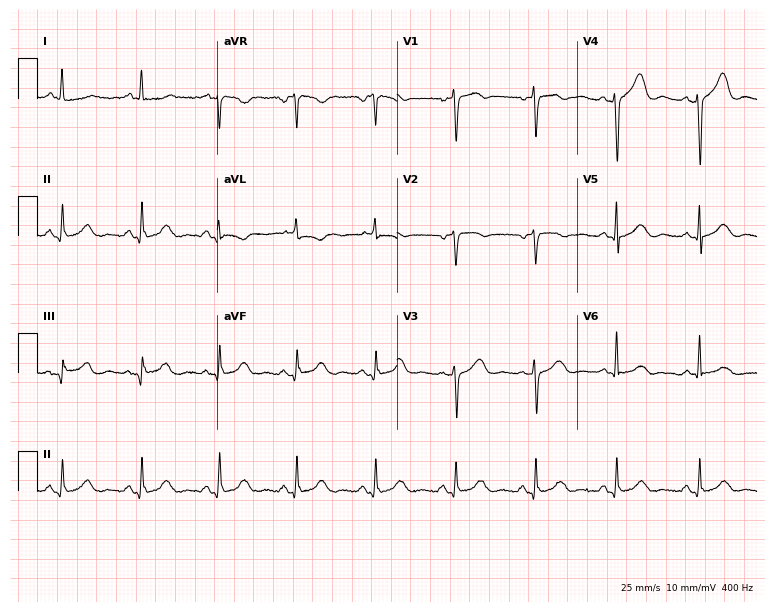
12-lead ECG from a 58-year-old female patient. No first-degree AV block, right bundle branch block, left bundle branch block, sinus bradycardia, atrial fibrillation or sinus tachycardia recorded for this tracing. Other findings, if any, are not listed.